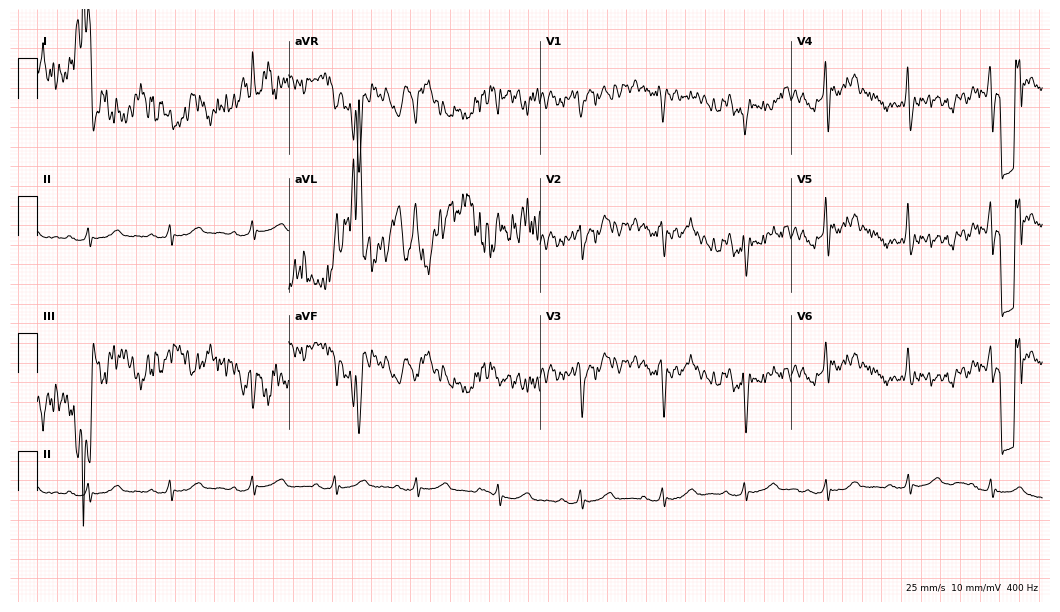
12-lead ECG from a woman, 67 years old. No first-degree AV block, right bundle branch block (RBBB), left bundle branch block (LBBB), sinus bradycardia, atrial fibrillation (AF) or sinus tachycardia recorded for this tracing. Findings outside these six are not listed.